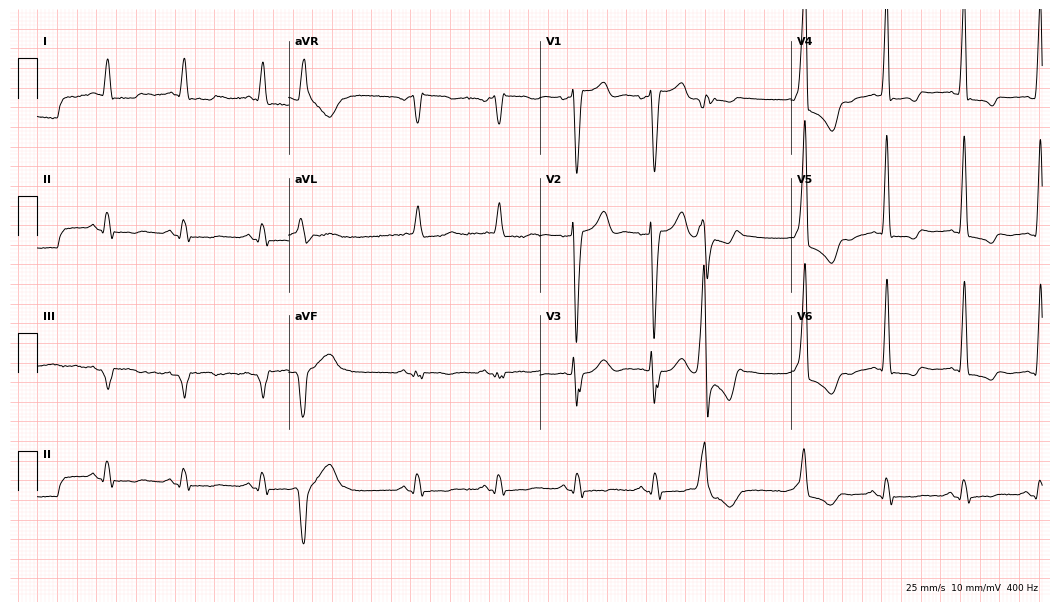
Electrocardiogram (10.2-second recording at 400 Hz), an 83-year-old man. Of the six screened findings (first-degree AV block, right bundle branch block, left bundle branch block, sinus bradycardia, atrial fibrillation, sinus tachycardia), none is recorded. Findings outside these six are not listed.